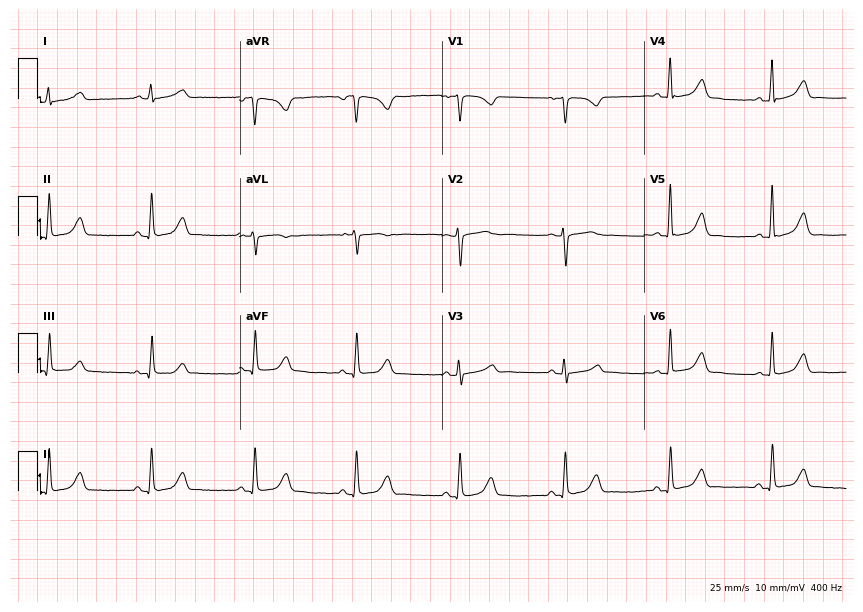
ECG (8.2-second recording at 400 Hz) — a female, 60 years old. Labelled as a normal ECG.